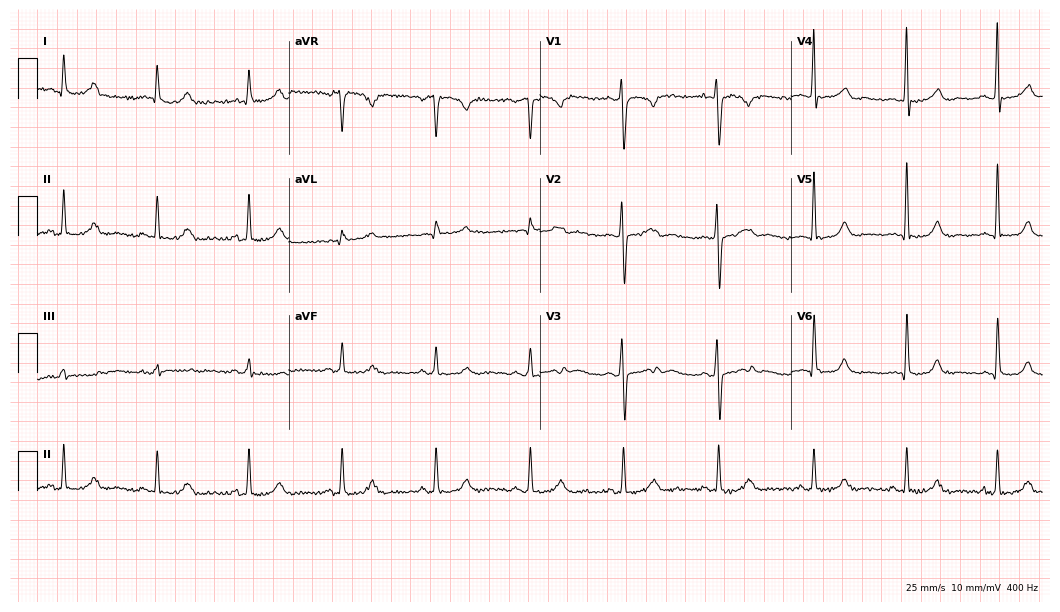
Electrocardiogram, a 49-year-old man. Overall reading on record: normal ECG.